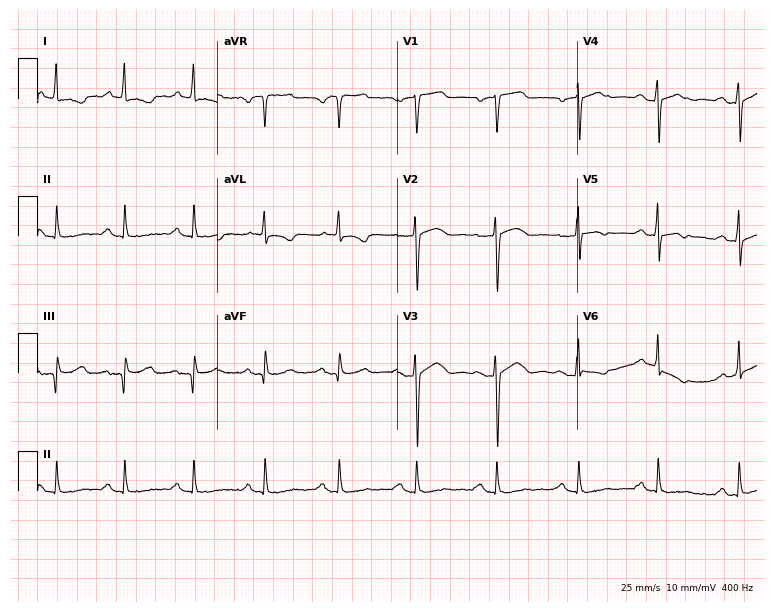
12-lead ECG from a 57-year-old woman (7.3-second recording at 400 Hz). No first-degree AV block, right bundle branch block, left bundle branch block, sinus bradycardia, atrial fibrillation or sinus tachycardia recorded for this tracing. Only these six findings were labelled.